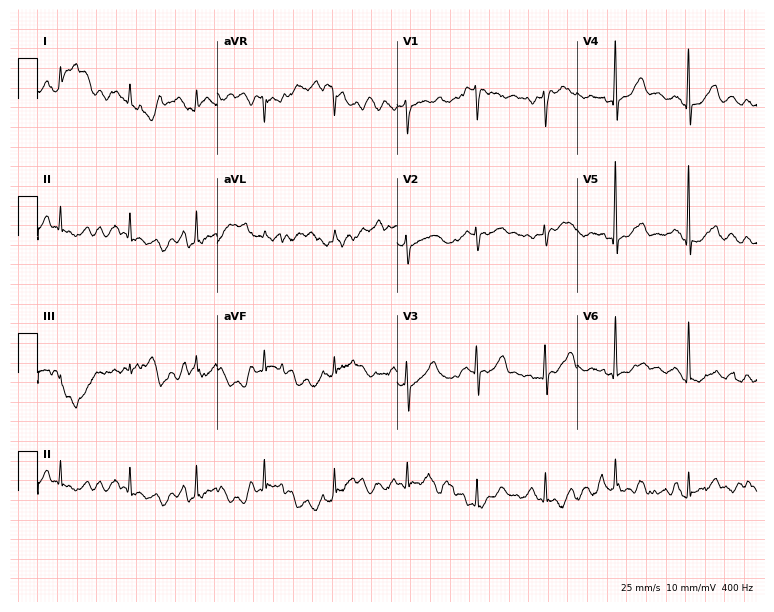
12-lead ECG (7.3-second recording at 400 Hz) from a male patient, 83 years old. Screened for six findings — first-degree AV block, right bundle branch block, left bundle branch block, sinus bradycardia, atrial fibrillation, sinus tachycardia — none is recorded. Findings outside these six are not listed.